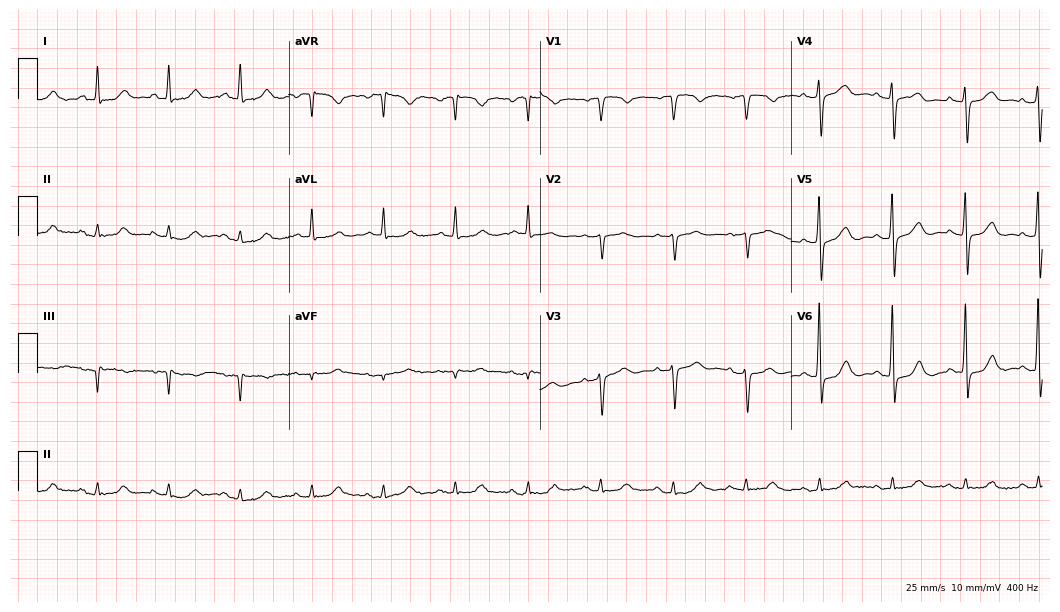
12-lead ECG from an 83-year-old male (10.2-second recording at 400 Hz). Recorded interpretation: within normal limits.